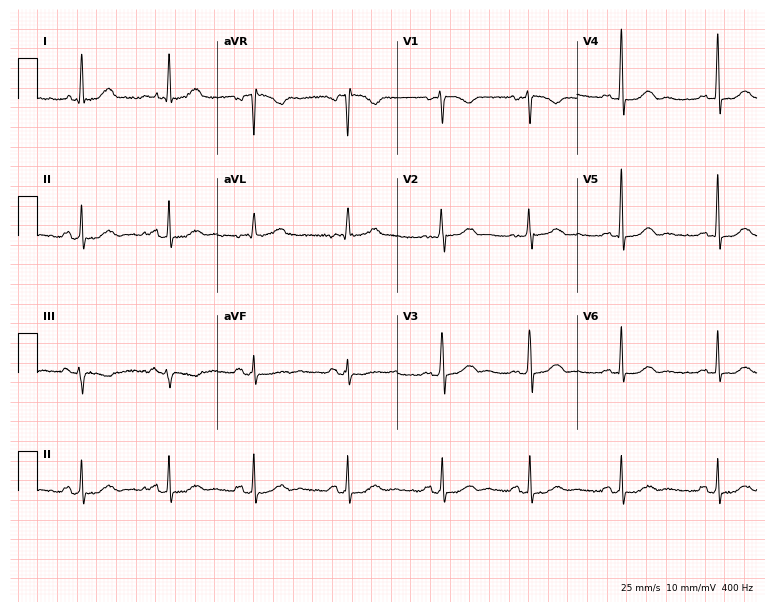
Standard 12-lead ECG recorded from a female, 55 years old. None of these six findings is recorded: first-degree AV block, right bundle branch block, left bundle branch block, sinus bradycardia, atrial fibrillation, sinus tachycardia. Other findings, if any, are not listed.